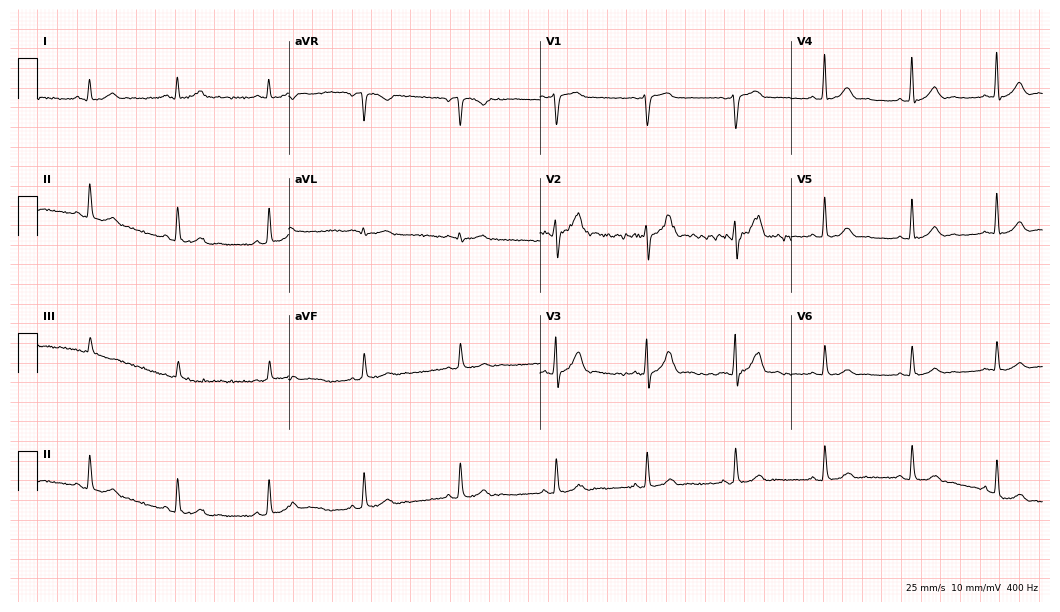
Electrocardiogram, a male patient, 45 years old. Overall reading on record: normal ECG.